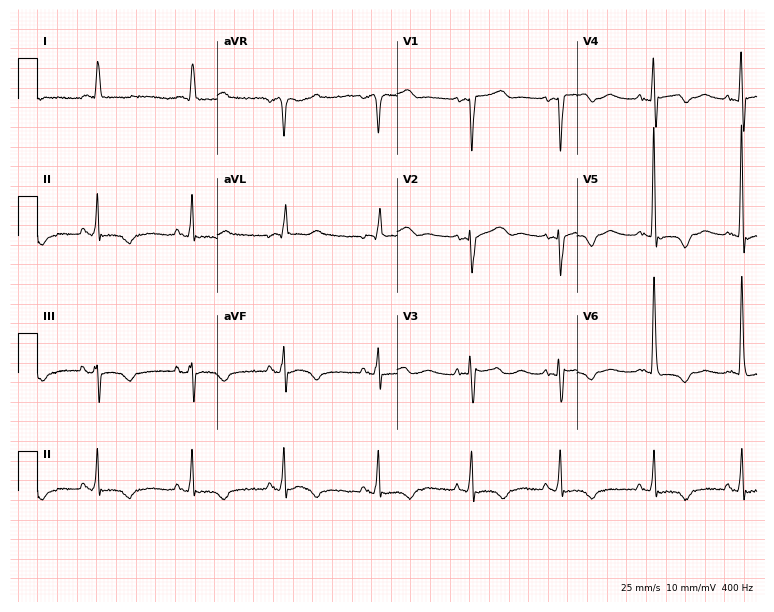
Standard 12-lead ECG recorded from a 79-year-old female patient (7.3-second recording at 400 Hz). None of these six findings is recorded: first-degree AV block, right bundle branch block, left bundle branch block, sinus bradycardia, atrial fibrillation, sinus tachycardia.